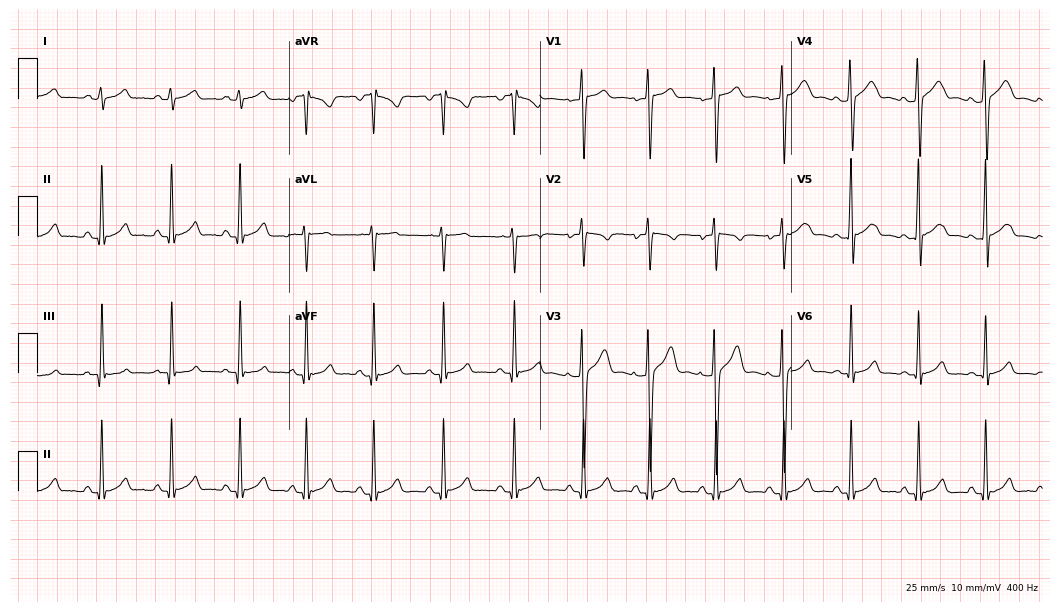
ECG — a male patient, 17 years old. Labelled as a normal ECG.